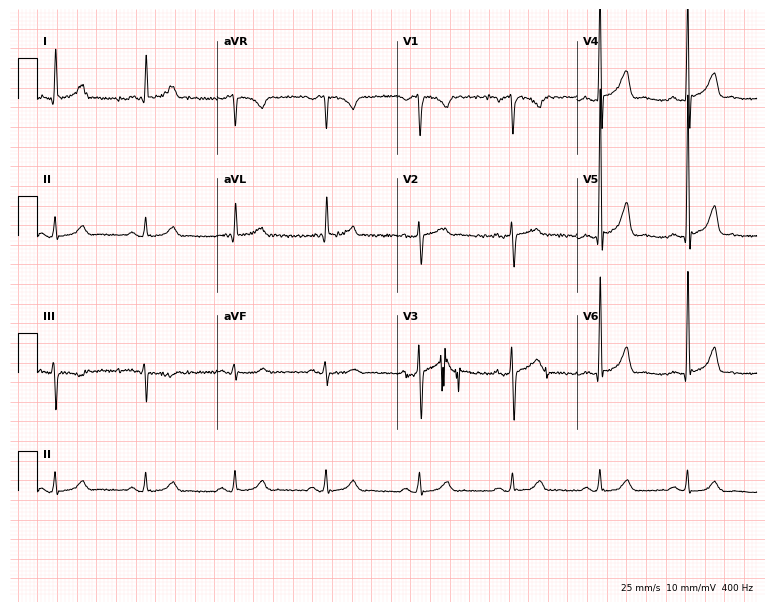
12-lead ECG from a 61-year-old male. Labelled as a normal ECG.